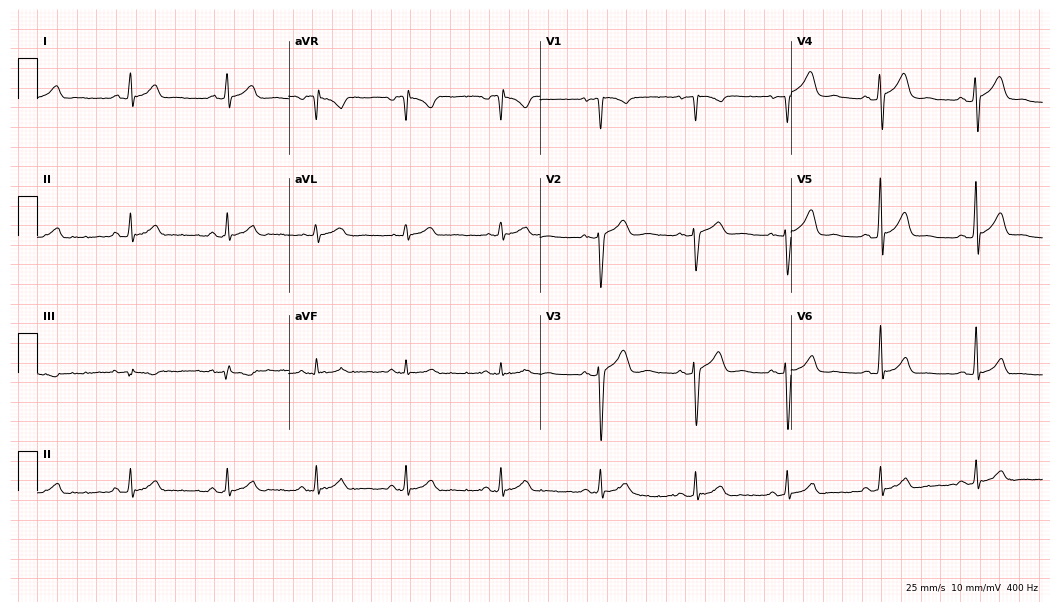
12-lead ECG (10.2-second recording at 400 Hz) from a 27-year-old female. Screened for six findings — first-degree AV block, right bundle branch block (RBBB), left bundle branch block (LBBB), sinus bradycardia, atrial fibrillation (AF), sinus tachycardia — none is recorded. Findings outside these six are not listed.